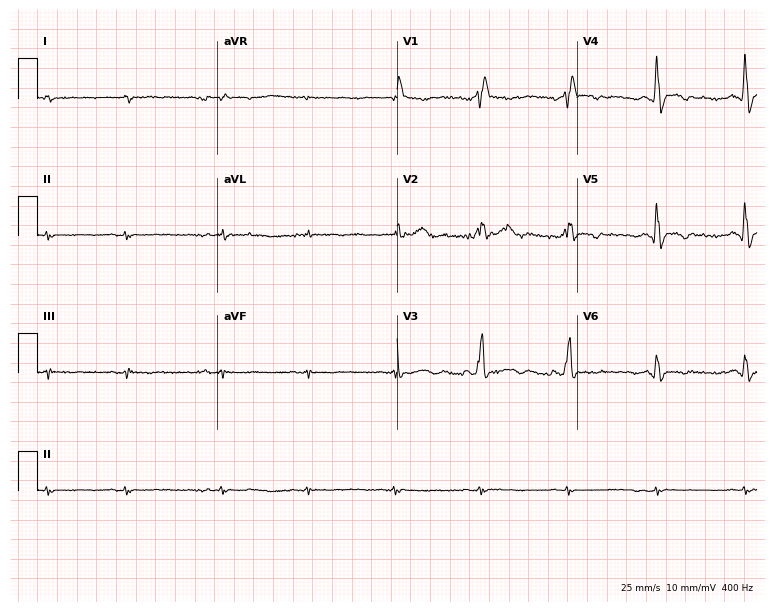
12-lead ECG from a male, 68 years old (7.3-second recording at 400 Hz). No first-degree AV block, right bundle branch block, left bundle branch block, sinus bradycardia, atrial fibrillation or sinus tachycardia recorded for this tracing.